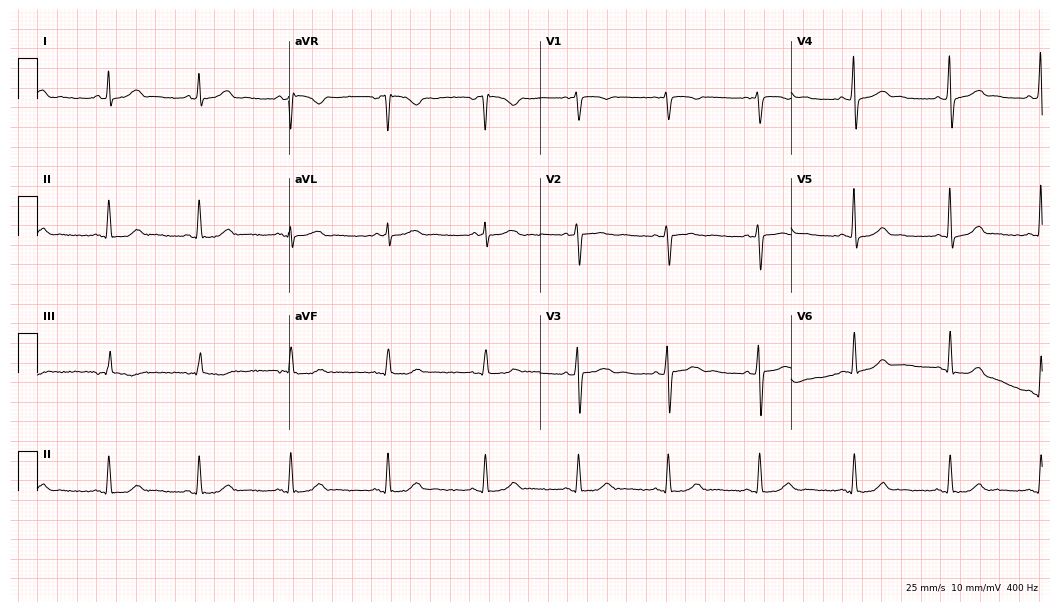
Electrocardiogram, a 31-year-old woman. Overall reading on record: normal ECG.